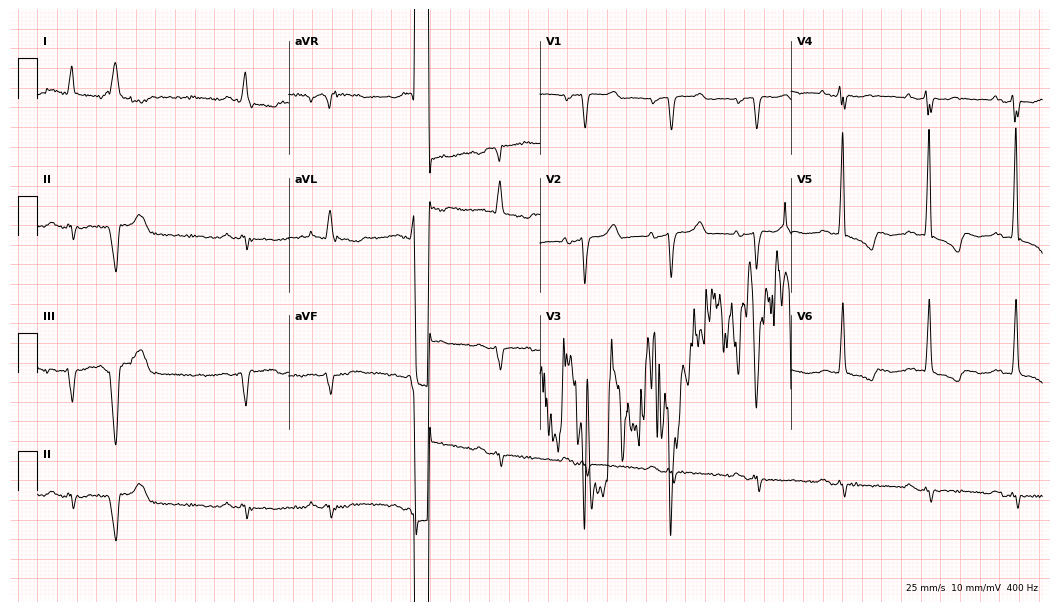
12-lead ECG from a 76-year-old man. No first-degree AV block, right bundle branch block, left bundle branch block, sinus bradycardia, atrial fibrillation or sinus tachycardia recorded for this tracing. Findings outside these six are not listed.